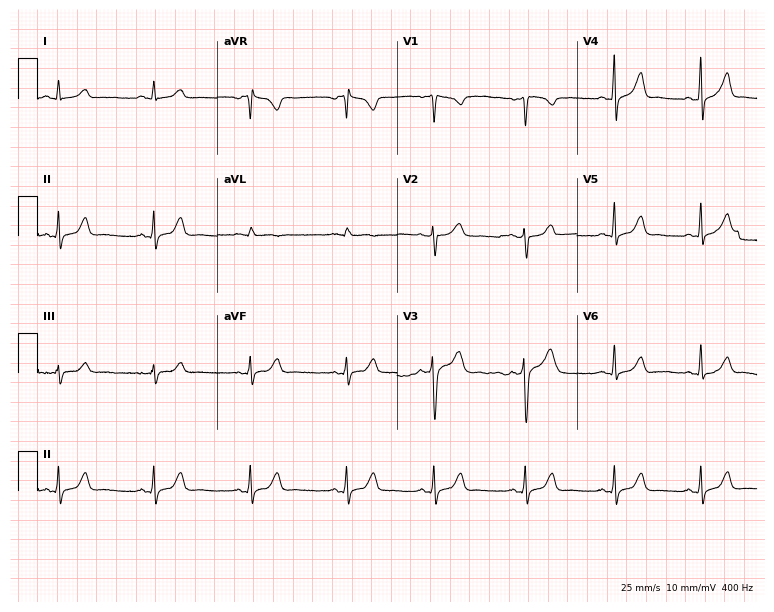
Resting 12-lead electrocardiogram (7.3-second recording at 400 Hz). Patient: a 34-year-old female. Read as a normal ECG.